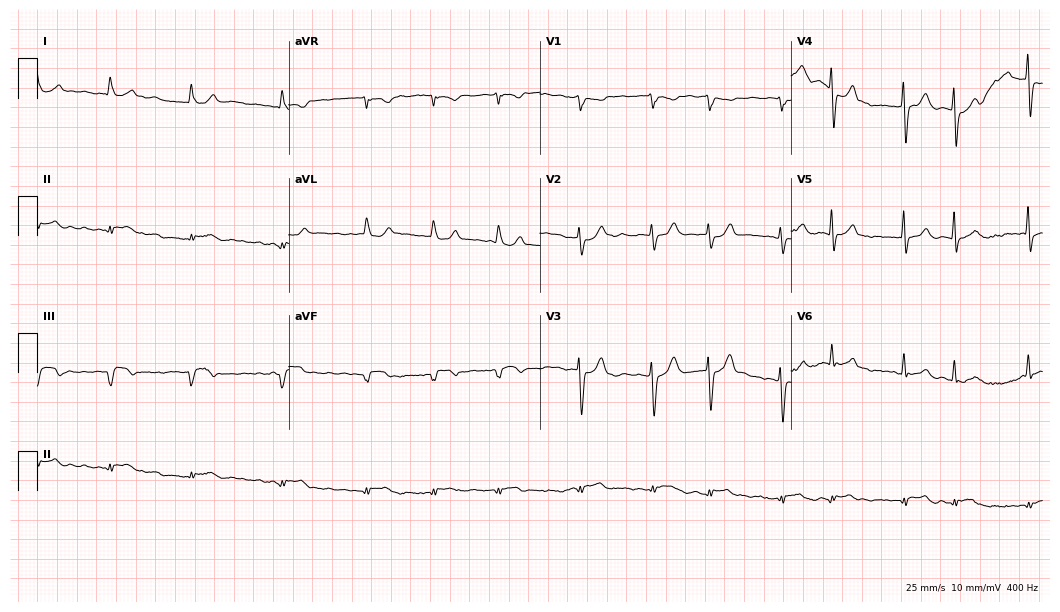
12-lead ECG (10.2-second recording at 400 Hz) from a male patient, 78 years old. Findings include atrial fibrillation.